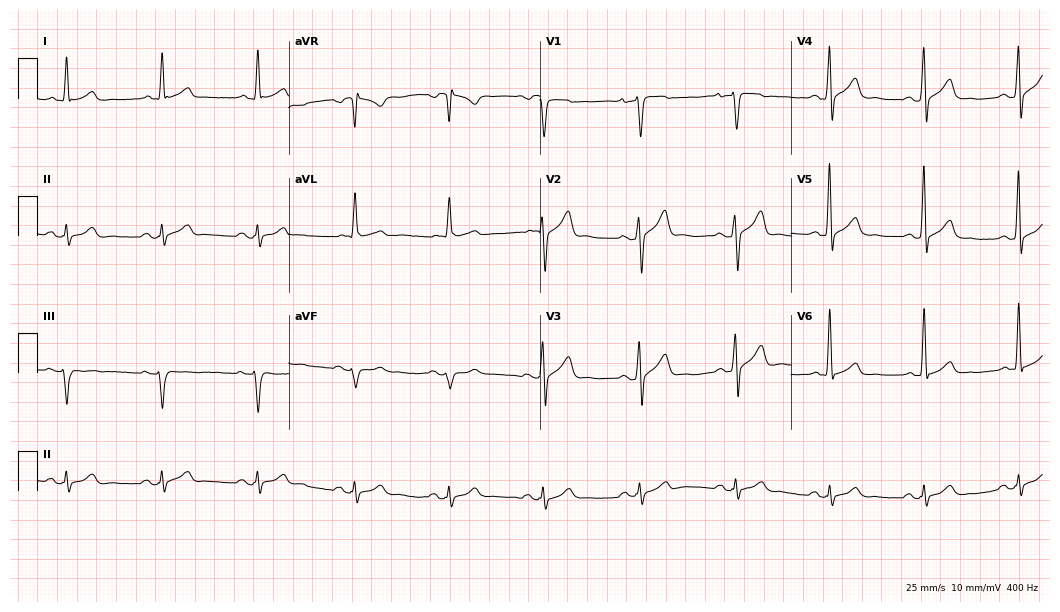
Standard 12-lead ECG recorded from a 64-year-old male. Read as a normal ECG.